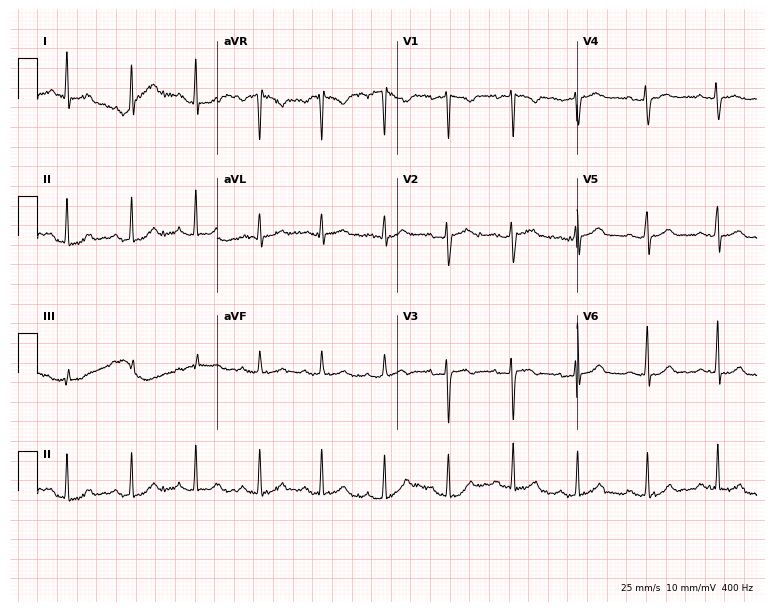
ECG — a 35-year-old female patient. Labelled as a normal ECG.